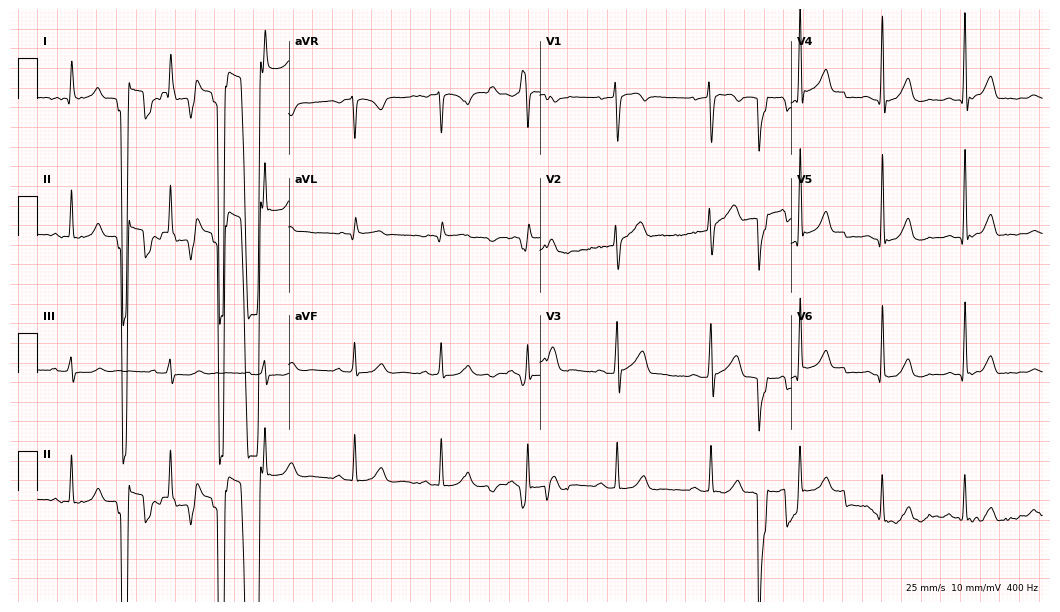
Resting 12-lead electrocardiogram (10.2-second recording at 400 Hz). Patient: a man, 32 years old. Read as a normal ECG.